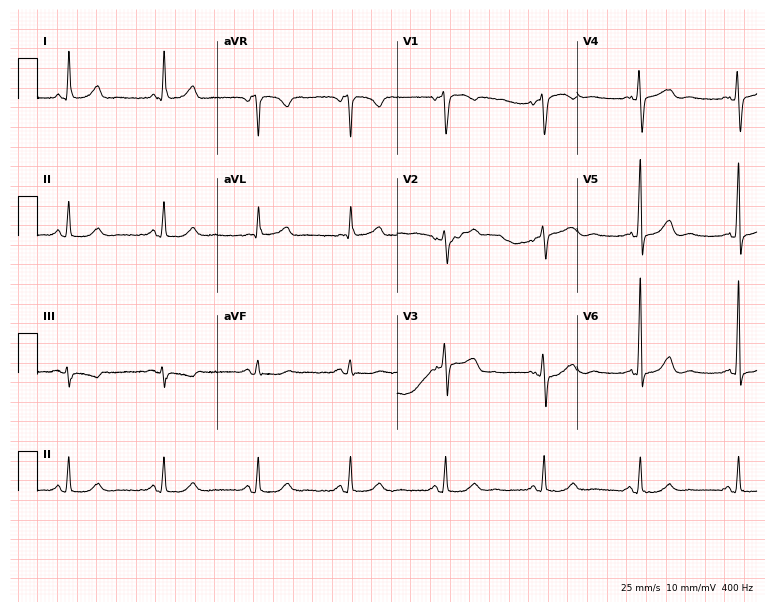
ECG — a 75-year-old female patient. Screened for six findings — first-degree AV block, right bundle branch block (RBBB), left bundle branch block (LBBB), sinus bradycardia, atrial fibrillation (AF), sinus tachycardia — none is recorded. Only these six findings were labelled.